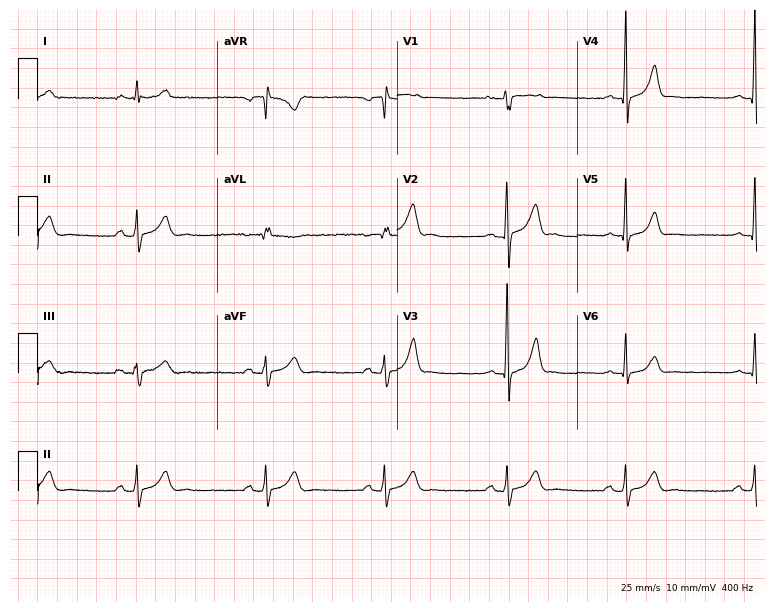
Standard 12-lead ECG recorded from a male patient, 25 years old (7.3-second recording at 400 Hz). The tracing shows sinus bradycardia (a sinus rate of 50 beats per minute or less).